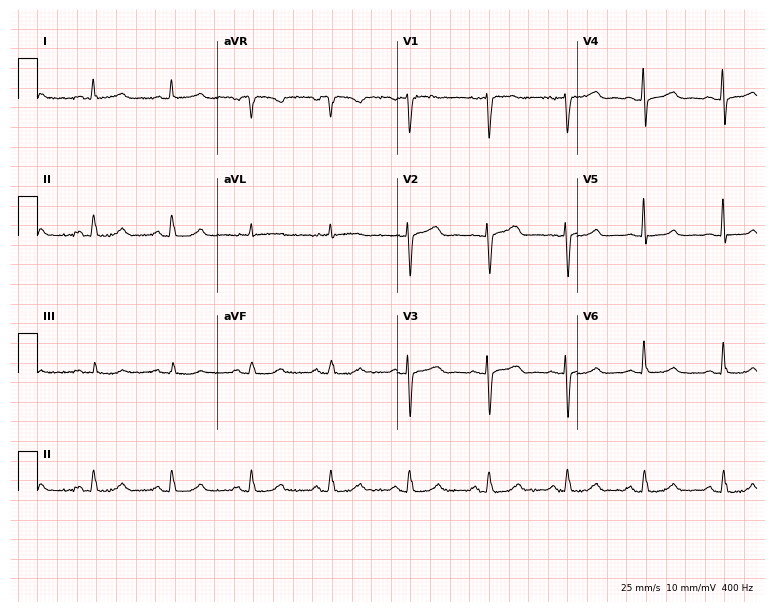
ECG (7.3-second recording at 400 Hz) — a female patient, 54 years old. Labelled as a normal ECG.